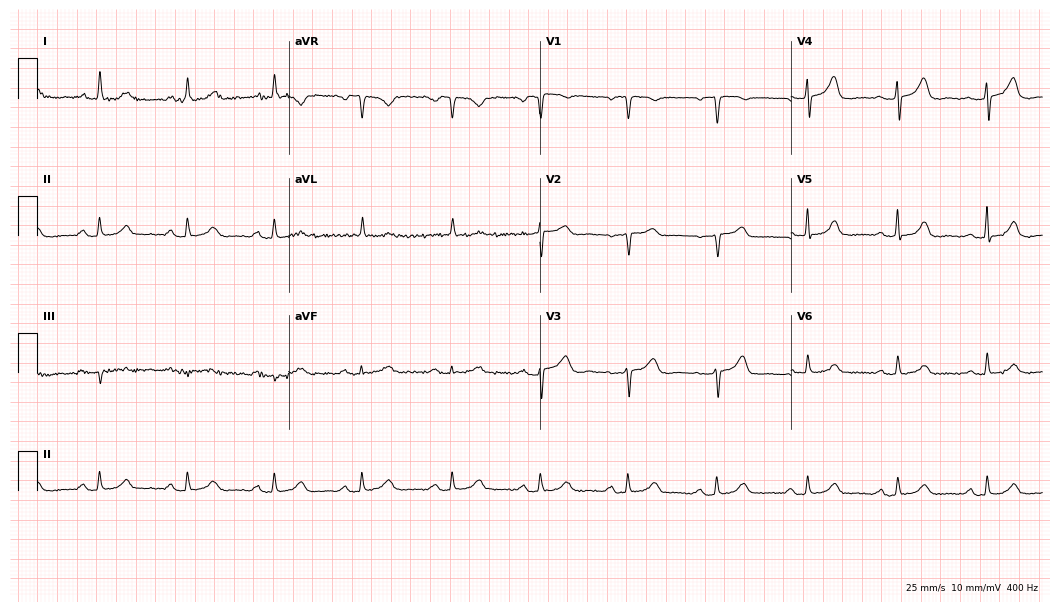
Resting 12-lead electrocardiogram. Patient: a woman, 75 years old. Read as a normal ECG.